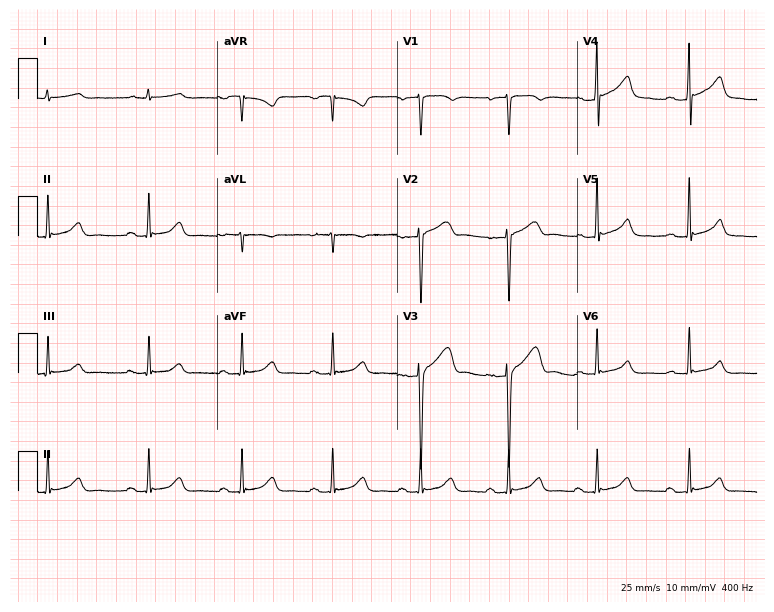
Electrocardiogram (7.3-second recording at 400 Hz), a 38-year-old man. Overall reading on record: normal ECG.